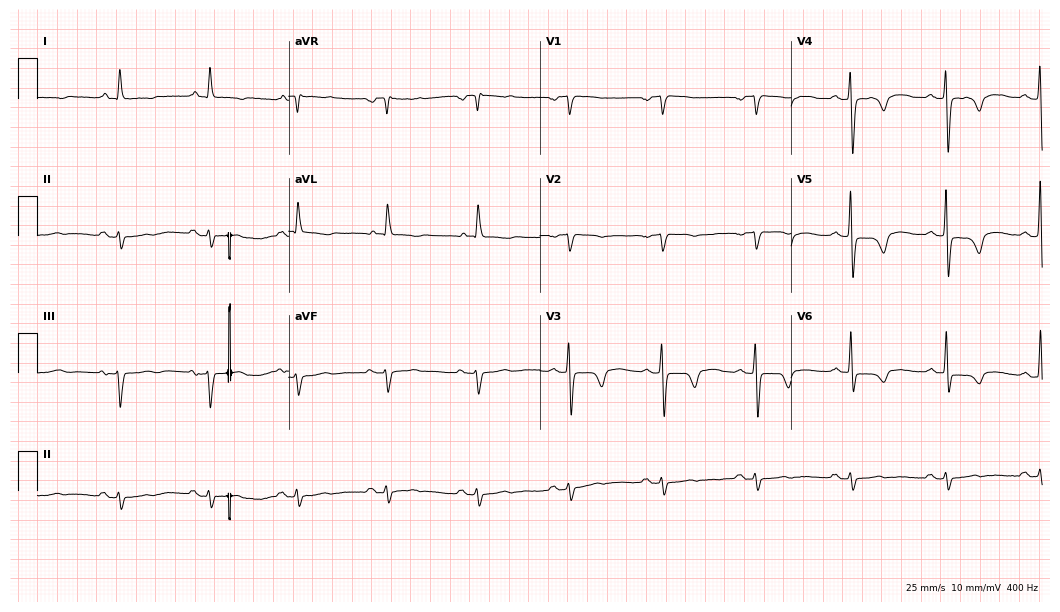
ECG (10.2-second recording at 400 Hz) — a female patient, 57 years old. Screened for six findings — first-degree AV block, right bundle branch block, left bundle branch block, sinus bradycardia, atrial fibrillation, sinus tachycardia — none is recorded.